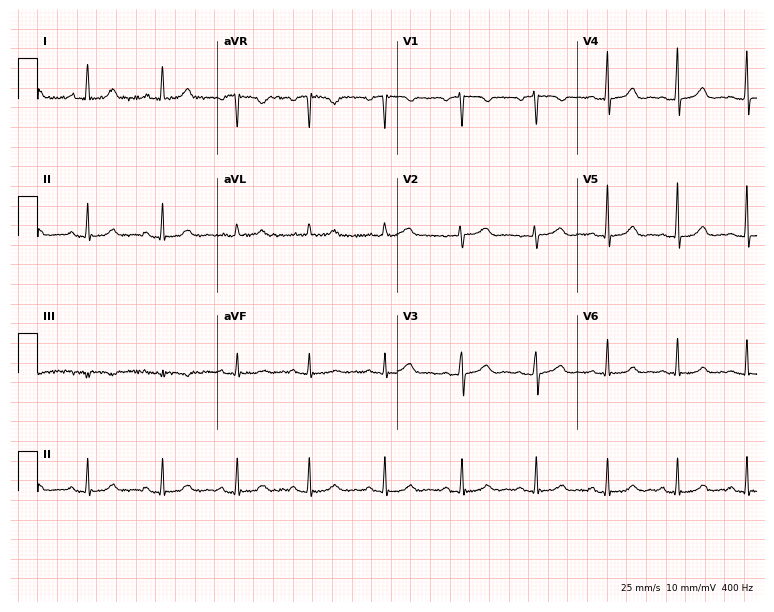
12-lead ECG from a female patient, 49 years old. Recorded interpretation: within normal limits.